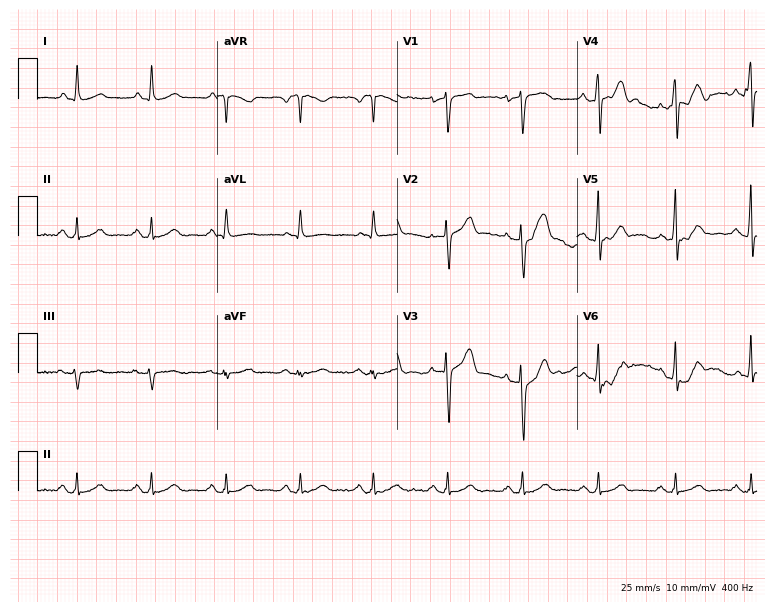
Standard 12-lead ECG recorded from a 54-year-old male (7.3-second recording at 400 Hz). Read as a normal ECG.